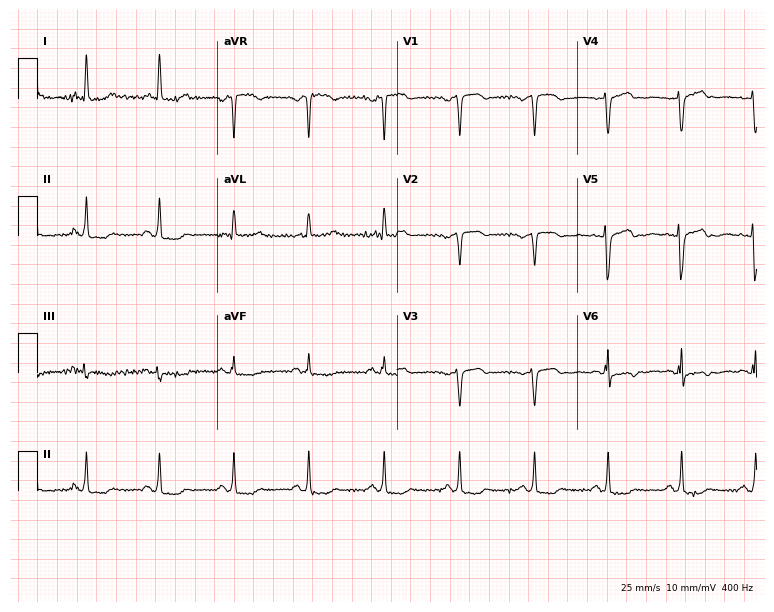
12-lead ECG from a 74-year-old female (7.3-second recording at 400 Hz). No first-degree AV block, right bundle branch block (RBBB), left bundle branch block (LBBB), sinus bradycardia, atrial fibrillation (AF) or sinus tachycardia recorded for this tracing.